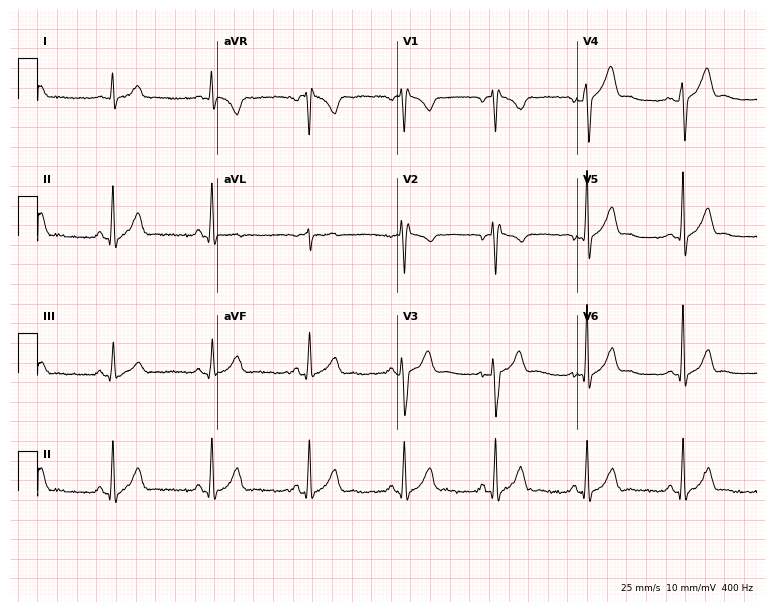
Resting 12-lead electrocardiogram. Patient: a 31-year-old male. None of these six findings is recorded: first-degree AV block, right bundle branch block, left bundle branch block, sinus bradycardia, atrial fibrillation, sinus tachycardia. Only these six findings were labelled.